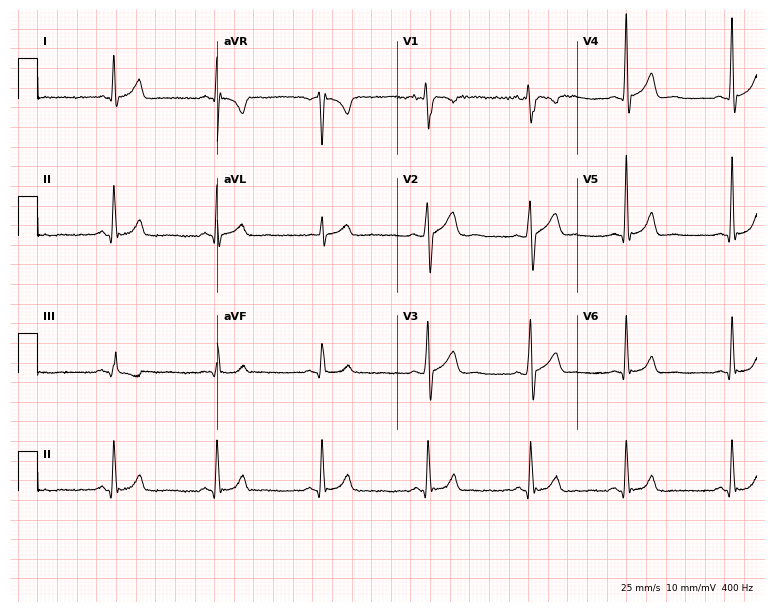
Resting 12-lead electrocardiogram. Patient: a 26-year-old male. None of these six findings is recorded: first-degree AV block, right bundle branch block, left bundle branch block, sinus bradycardia, atrial fibrillation, sinus tachycardia.